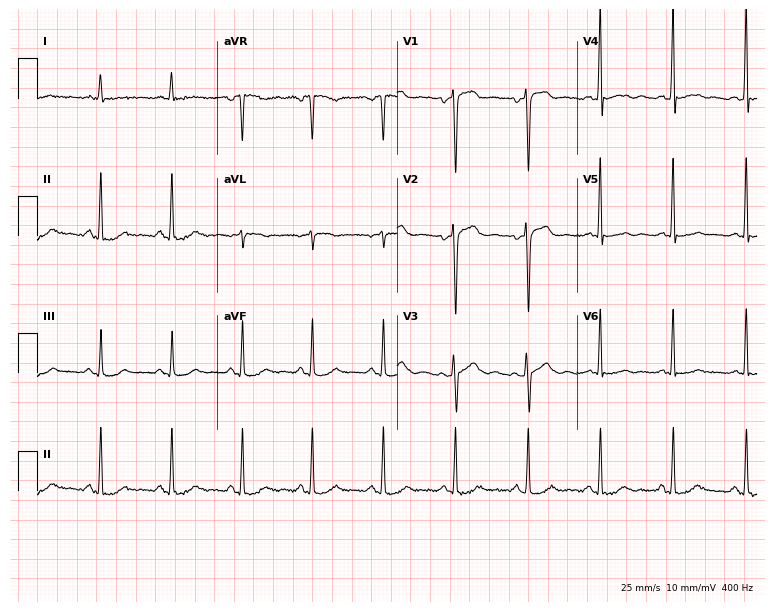
12-lead ECG from a male patient, 68 years old. Screened for six findings — first-degree AV block, right bundle branch block, left bundle branch block, sinus bradycardia, atrial fibrillation, sinus tachycardia — none is recorded.